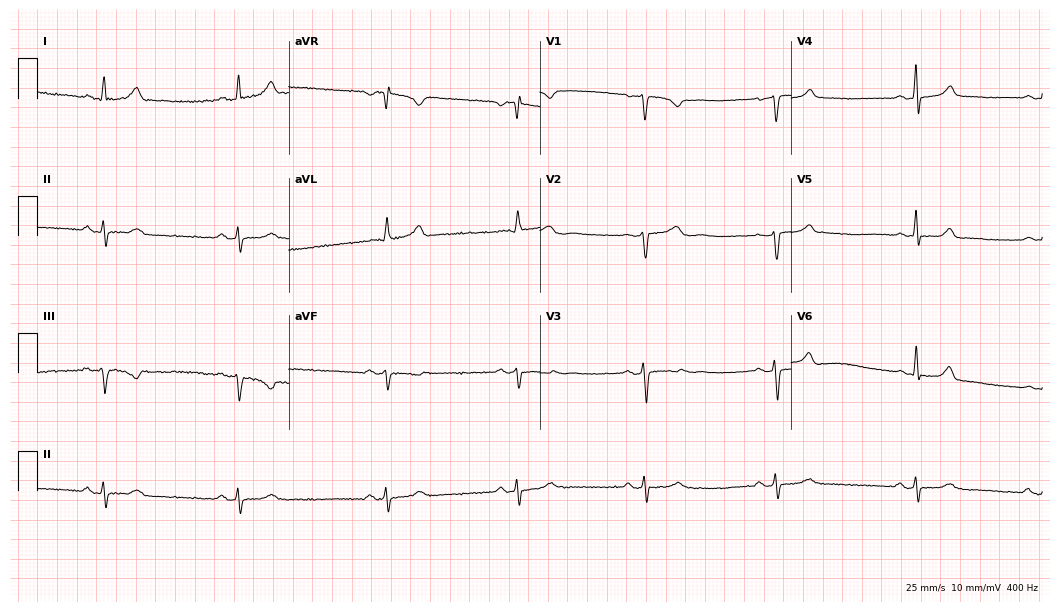
12-lead ECG from a 50-year-old female (10.2-second recording at 400 Hz). Shows sinus bradycardia (a sinus rate of 50 beats per minute or less).